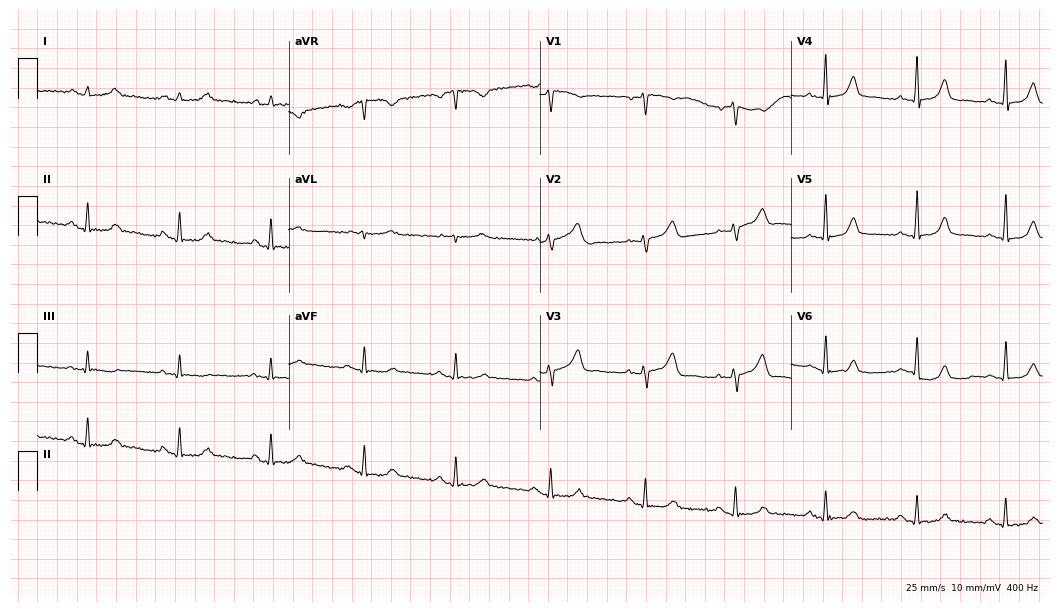
ECG (10.2-second recording at 400 Hz) — a male patient, 58 years old. Labelled as a normal ECG.